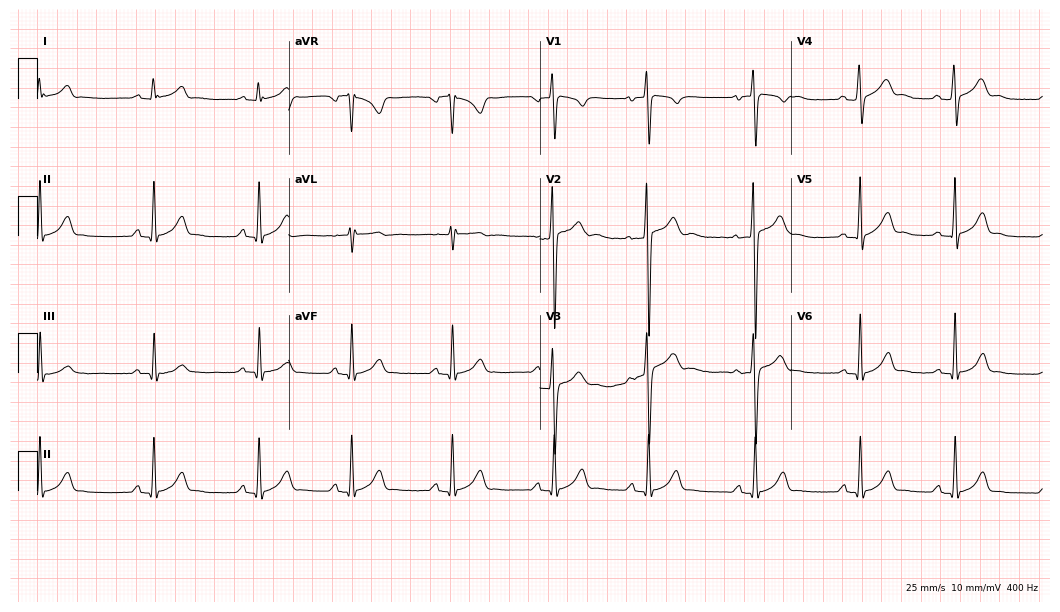
Resting 12-lead electrocardiogram. Patient: a male, 18 years old. Read as a normal ECG.